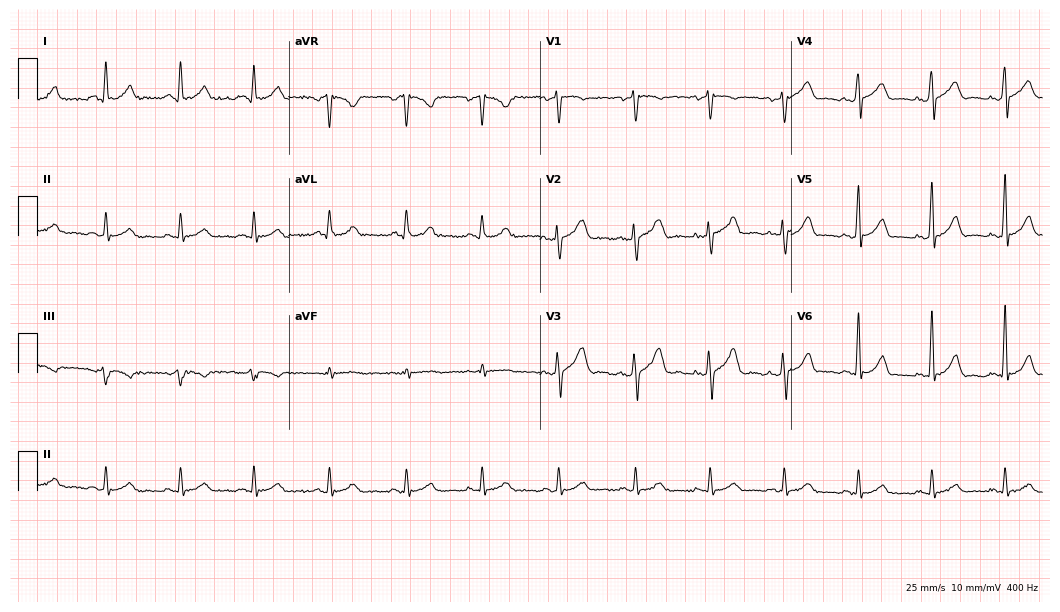
12-lead ECG from a 32-year-old man (10.2-second recording at 400 Hz). Recorded interpretation: within normal limits.